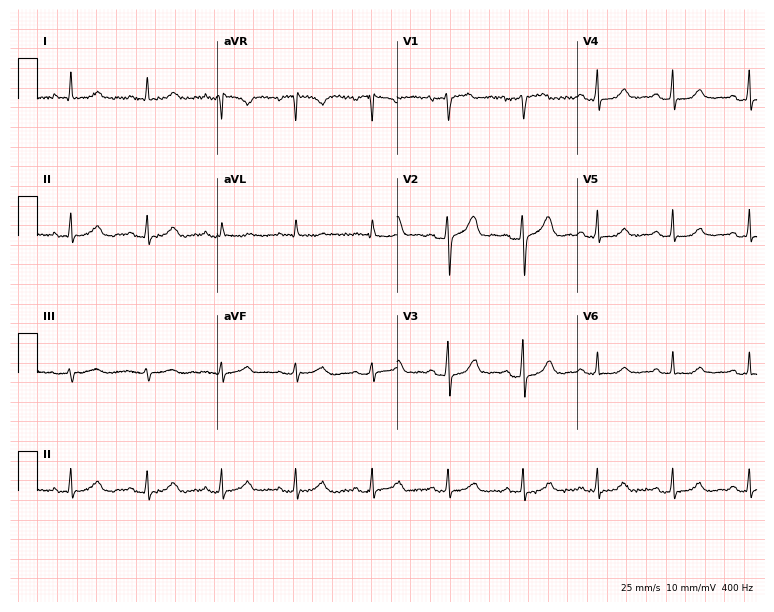
Standard 12-lead ECG recorded from a female, 69 years old (7.3-second recording at 400 Hz). Read as a normal ECG.